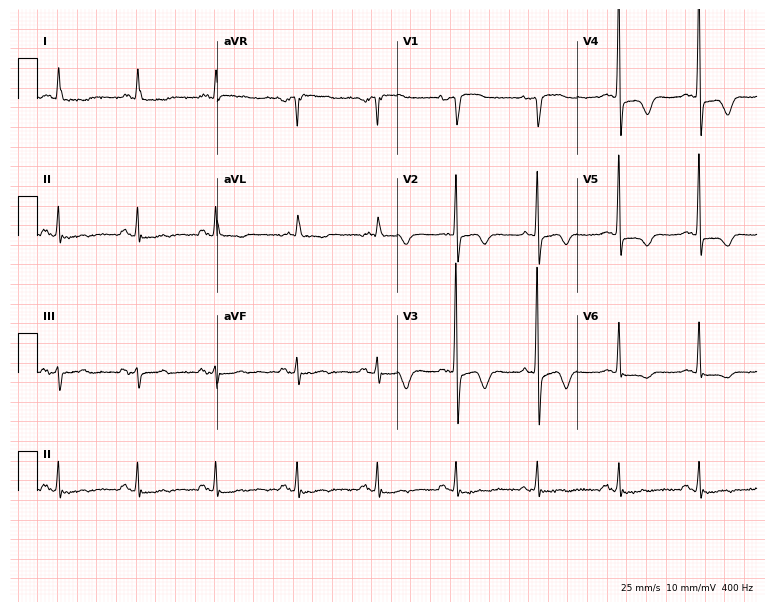
12-lead ECG from a 70-year-old woman (7.3-second recording at 400 Hz). No first-degree AV block, right bundle branch block, left bundle branch block, sinus bradycardia, atrial fibrillation or sinus tachycardia recorded for this tracing.